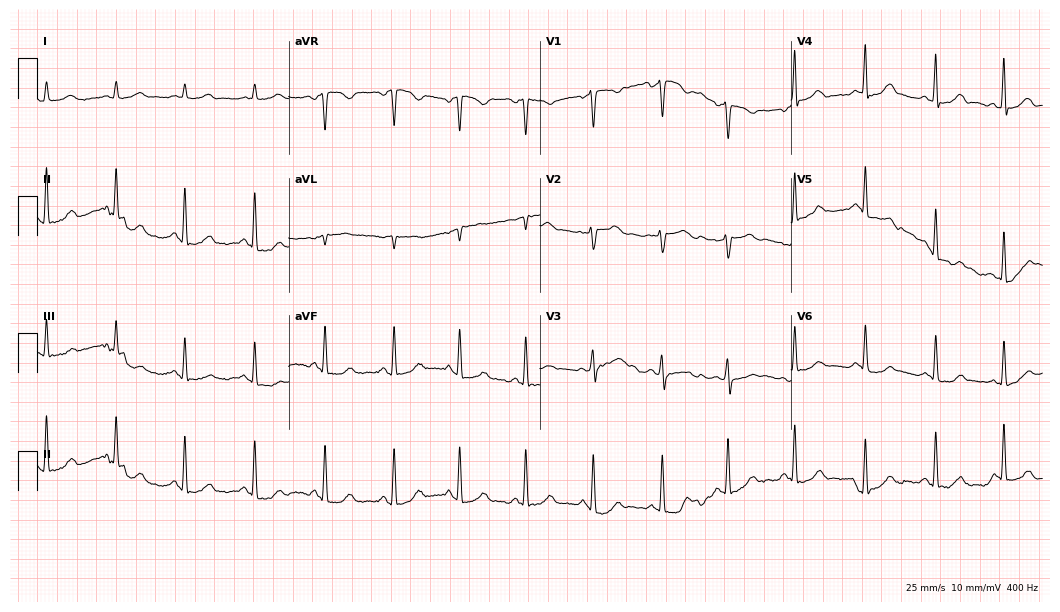
ECG — a female, 21 years old. Labelled as a normal ECG.